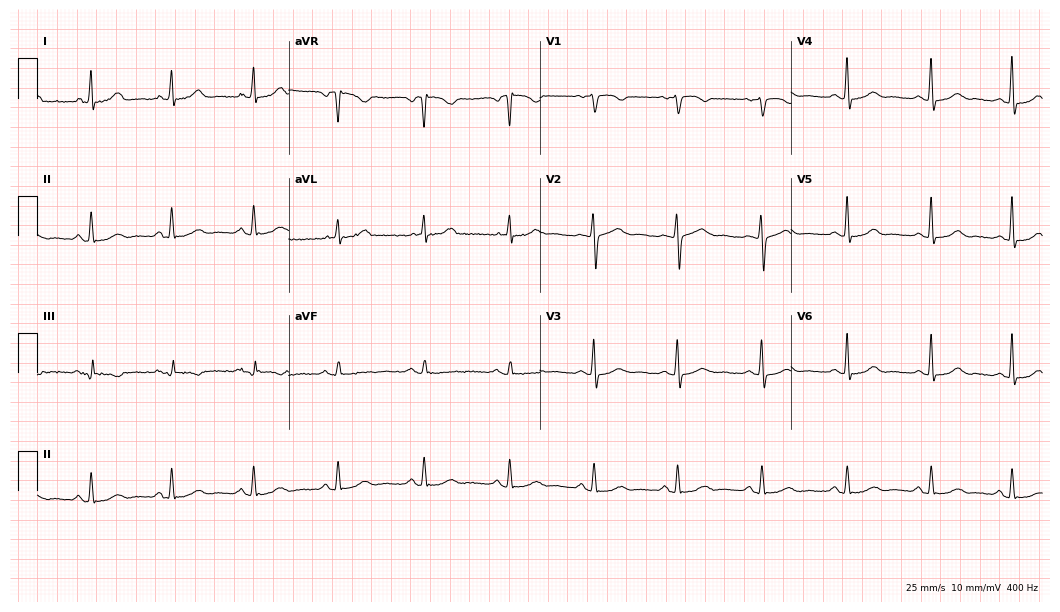
12-lead ECG (10.2-second recording at 400 Hz) from a woman, 50 years old. Labelled as a normal ECG.